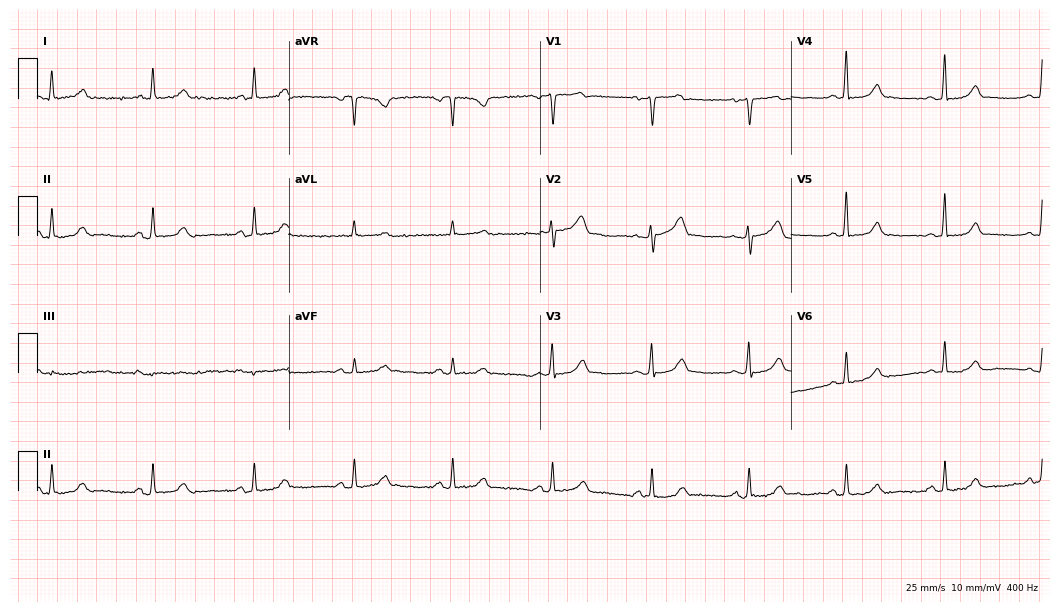
Standard 12-lead ECG recorded from a 53-year-old female (10.2-second recording at 400 Hz). None of these six findings is recorded: first-degree AV block, right bundle branch block (RBBB), left bundle branch block (LBBB), sinus bradycardia, atrial fibrillation (AF), sinus tachycardia.